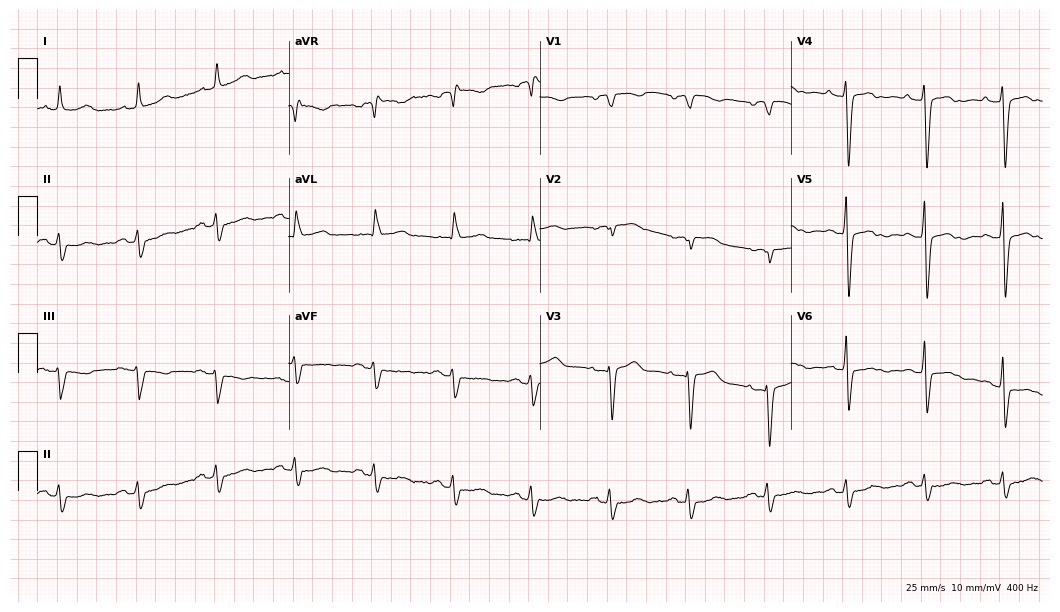
Resting 12-lead electrocardiogram (10.2-second recording at 400 Hz). Patient: a 77-year-old woman. None of these six findings is recorded: first-degree AV block, right bundle branch block, left bundle branch block, sinus bradycardia, atrial fibrillation, sinus tachycardia.